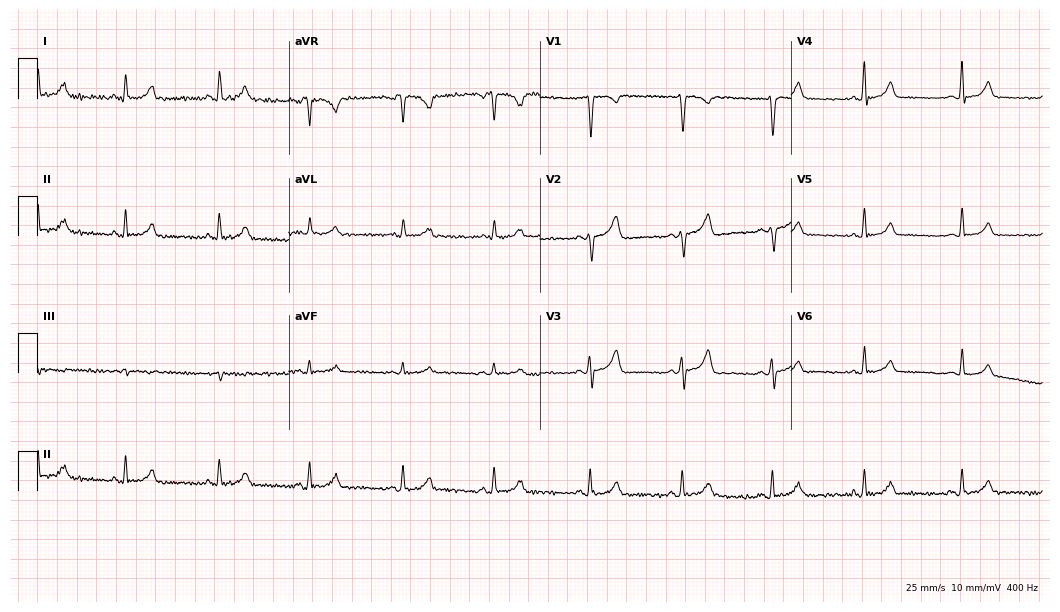
Resting 12-lead electrocardiogram (10.2-second recording at 400 Hz). Patient: a 45-year-old female. Read as a normal ECG.